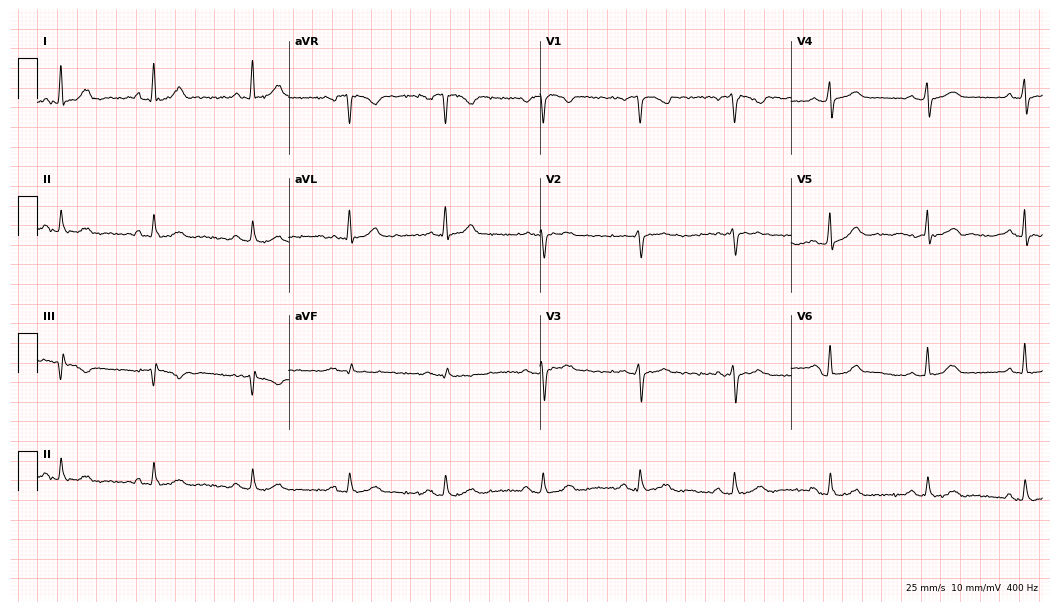
Electrocardiogram (10.2-second recording at 400 Hz), a female patient, 50 years old. Overall reading on record: normal ECG.